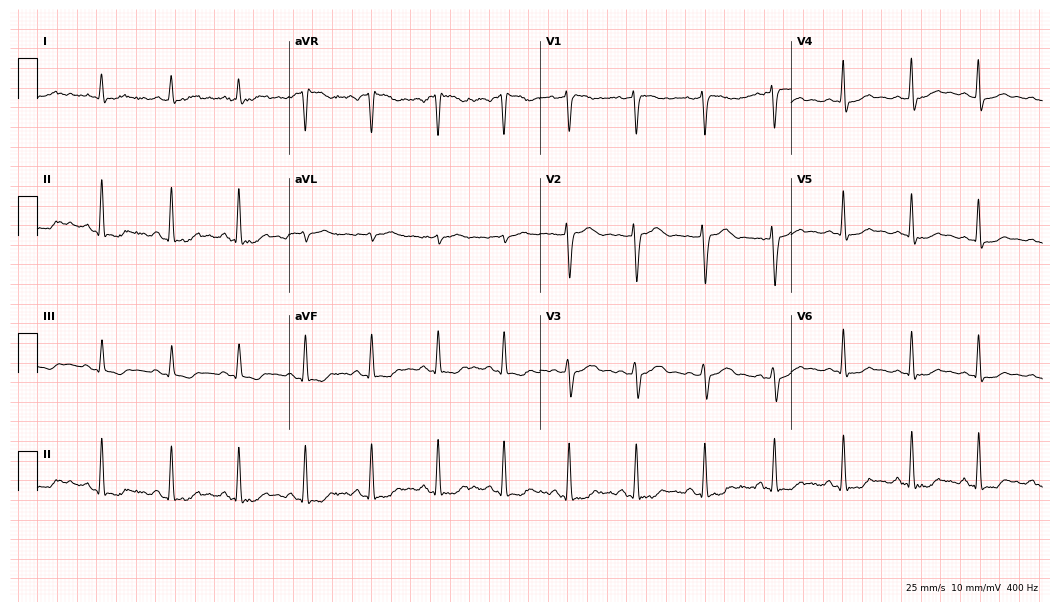
Resting 12-lead electrocardiogram (10.2-second recording at 400 Hz). Patient: a 36-year-old female. None of these six findings is recorded: first-degree AV block, right bundle branch block, left bundle branch block, sinus bradycardia, atrial fibrillation, sinus tachycardia. Findings outside these six are not listed.